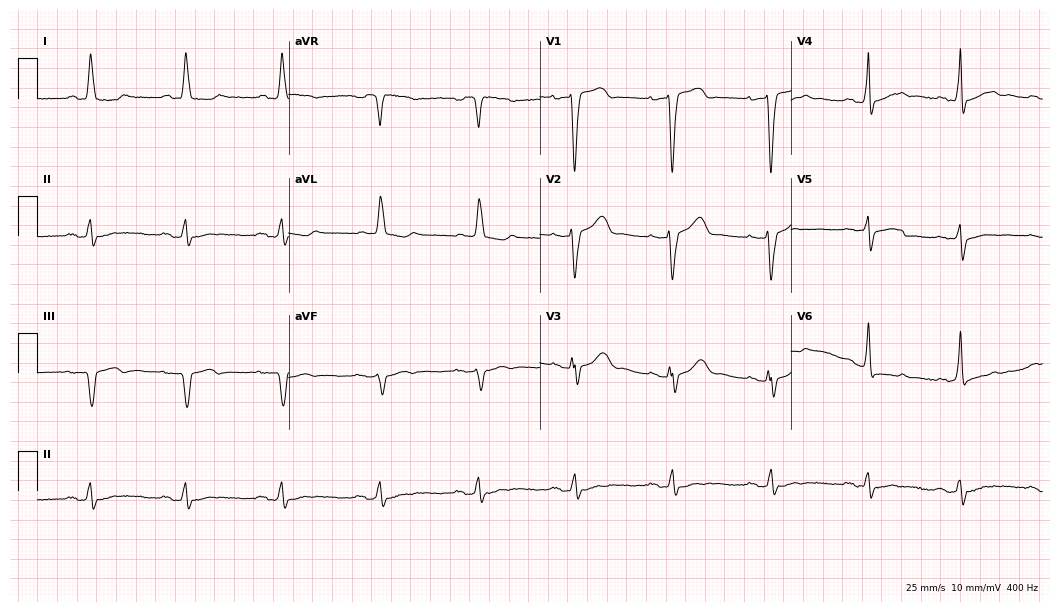
12-lead ECG from an 83-year-old woman. No first-degree AV block, right bundle branch block (RBBB), left bundle branch block (LBBB), sinus bradycardia, atrial fibrillation (AF) or sinus tachycardia recorded for this tracing. Other findings, if any, are not listed.